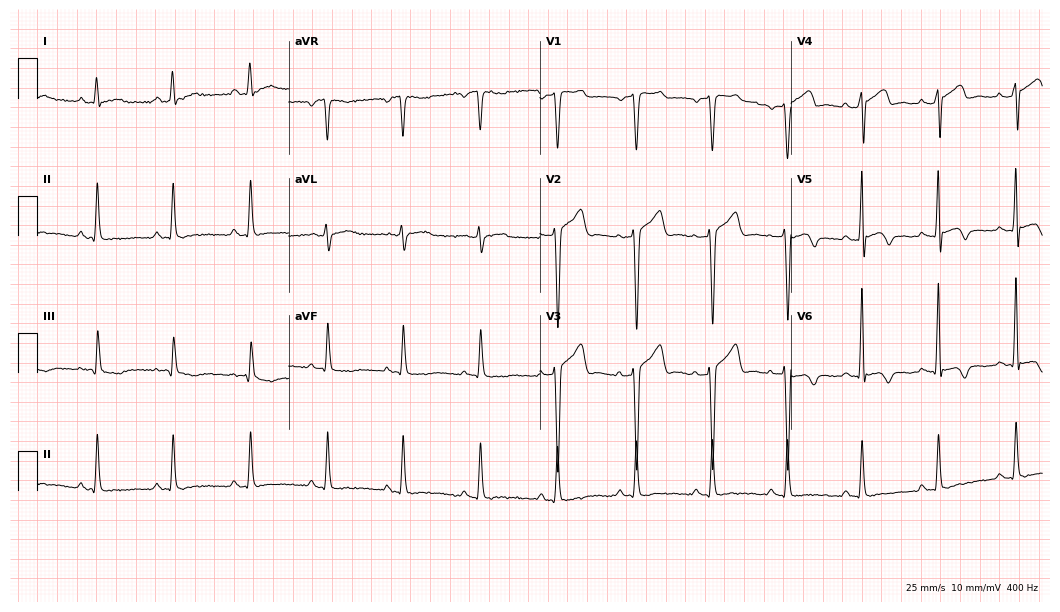
12-lead ECG from a 37-year-old male (10.2-second recording at 400 Hz). No first-degree AV block, right bundle branch block, left bundle branch block, sinus bradycardia, atrial fibrillation or sinus tachycardia recorded for this tracing.